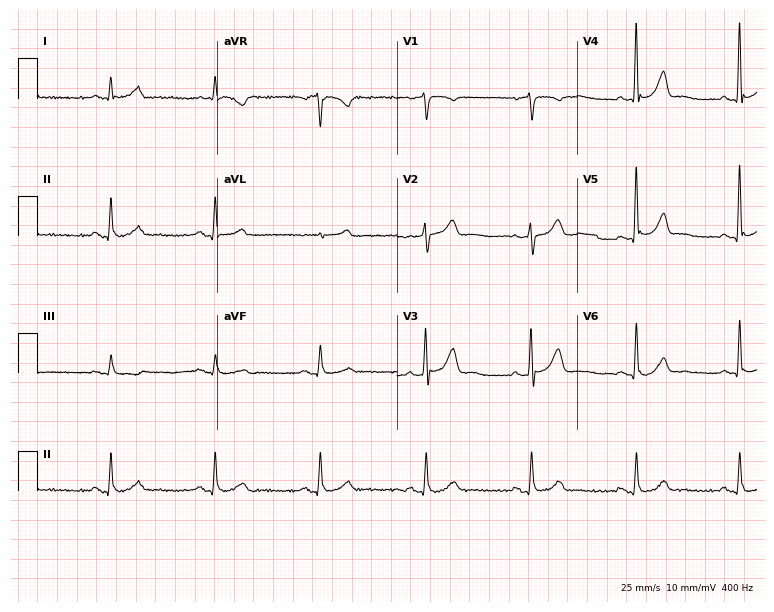
ECG — a male, 63 years old. Labelled as a normal ECG.